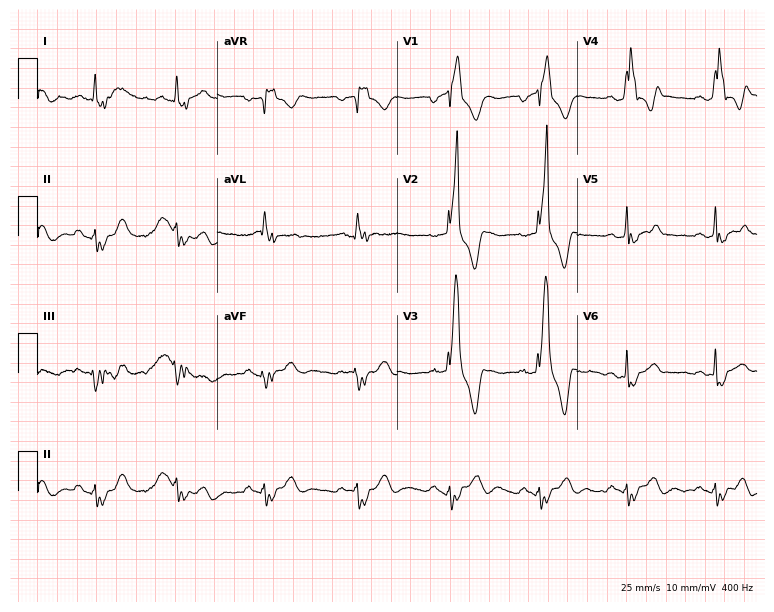
Resting 12-lead electrocardiogram (7.3-second recording at 400 Hz). Patient: a male, 23 years old. The tracing shows right bundle branch block.